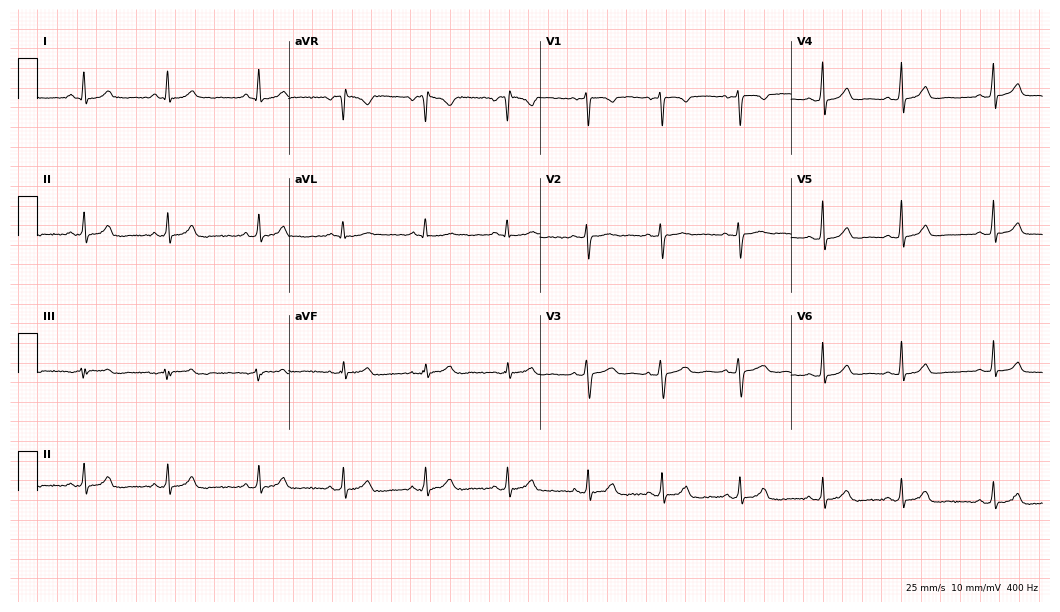
Resting 12-lead electrocardiogram (10.2-second recording at 400 Hz). Patient: a female, 30 years old. Read as a normal ECG.